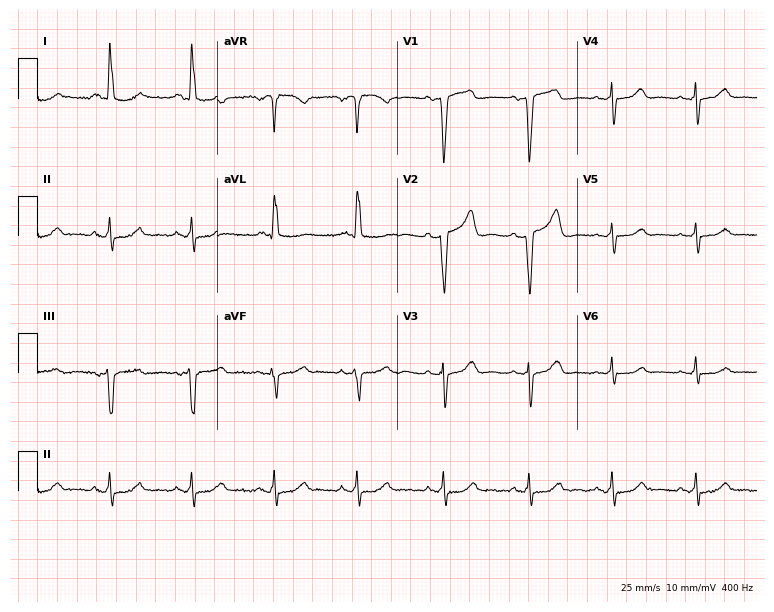
12-lead ECG from a 68-year-old female patient. No first-degree AV block, right bundle branch block, left bundle branch block, sinus bradycardia, atrial fibrillation or sinus tachycardia recorded for this tracing. Other findings, if any, are not listed.